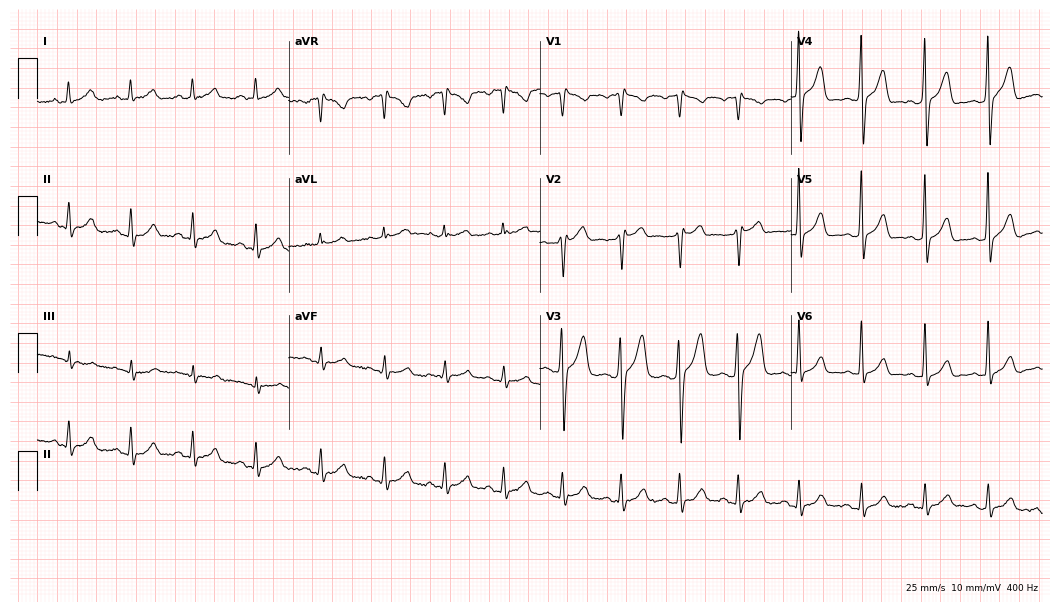
Standard 12-lead ECG recorded from a man, 44 years old (10.2-second recording at 400 Hz). Read as a normal ECG.